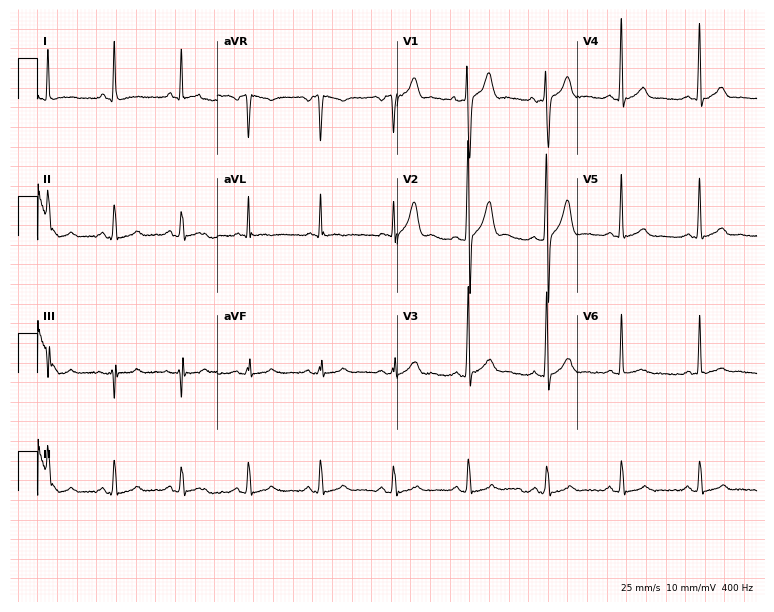
Resting 12-lead electrocardiogram. Patient: a 33-year-old male. Read as a normal ECG.